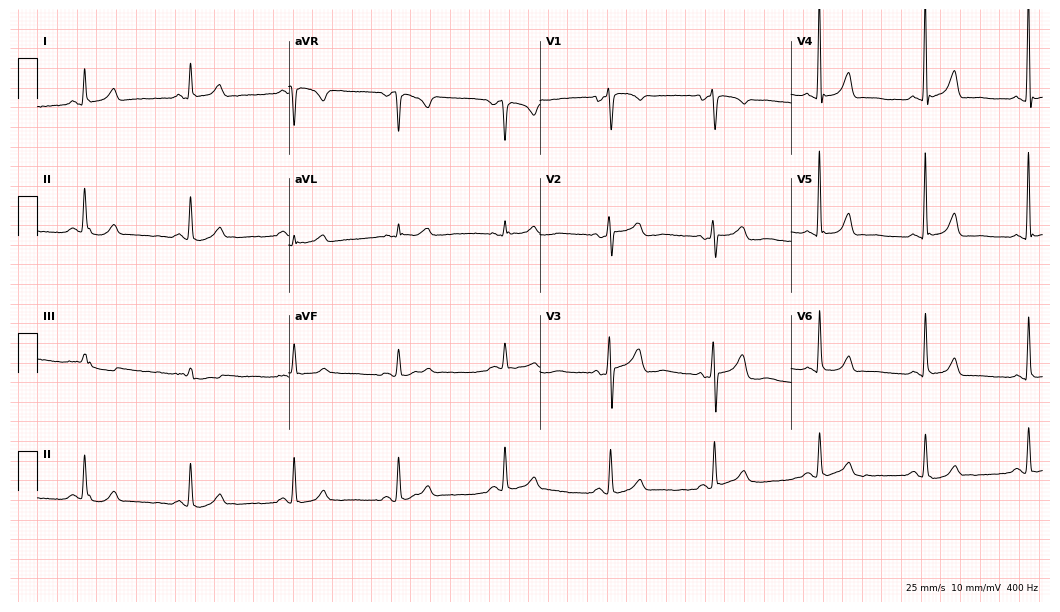
ECG — a 75-year-old female. Screened for six findings — first-degree AV block, right bundle branch block, left bundle branch block, sinus bradycardia, atrial fibrillation, sinus tachycardia — none is recorded.